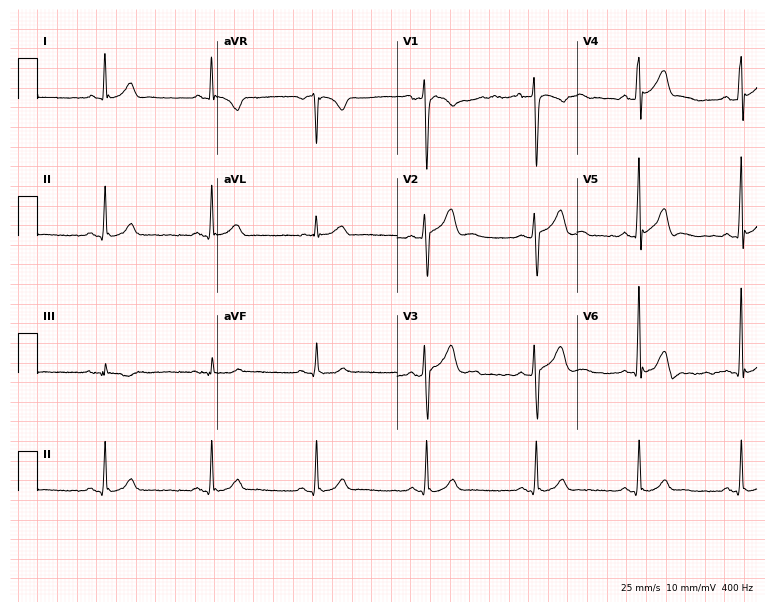
ECG — a 47-year-old male. Labelled as a normal ECG.